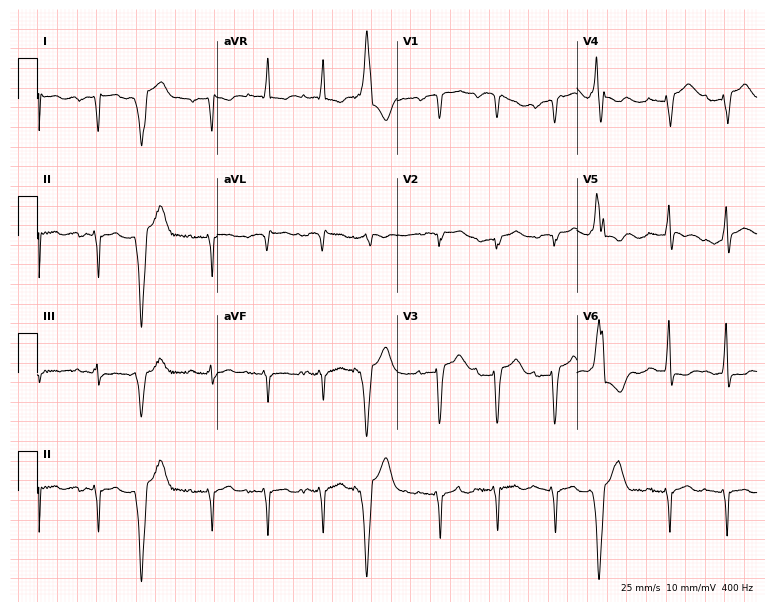
12-lead ECG from a female patient, 76 years old (7.3-second recording at 400 Hz). No first-degree AV block, right bundle branch block (RBBB), left bundle branch block (LBBB), sinus bradycardia, atrial fibrillation (AF) or sinus tachycardia recorded for this tracing.